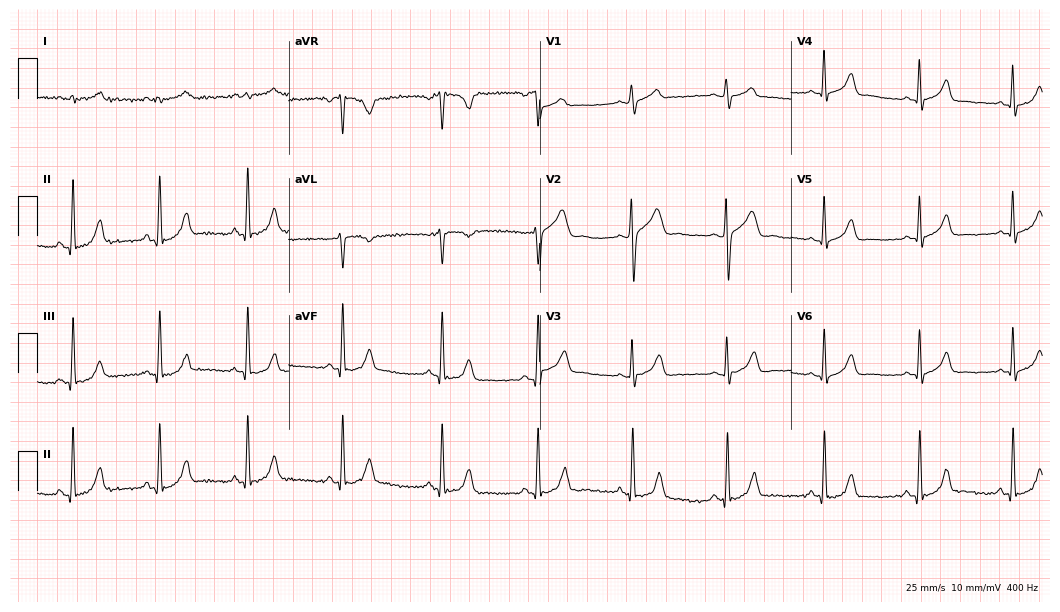
Electrocardiogram, a 42-year-old male. Of the six screened findings (first-degree AV block, right bundle branch block, left bundle branch block, sinus bradycardia, atrial fibrillation, sinus tachycardia), none is recorded.